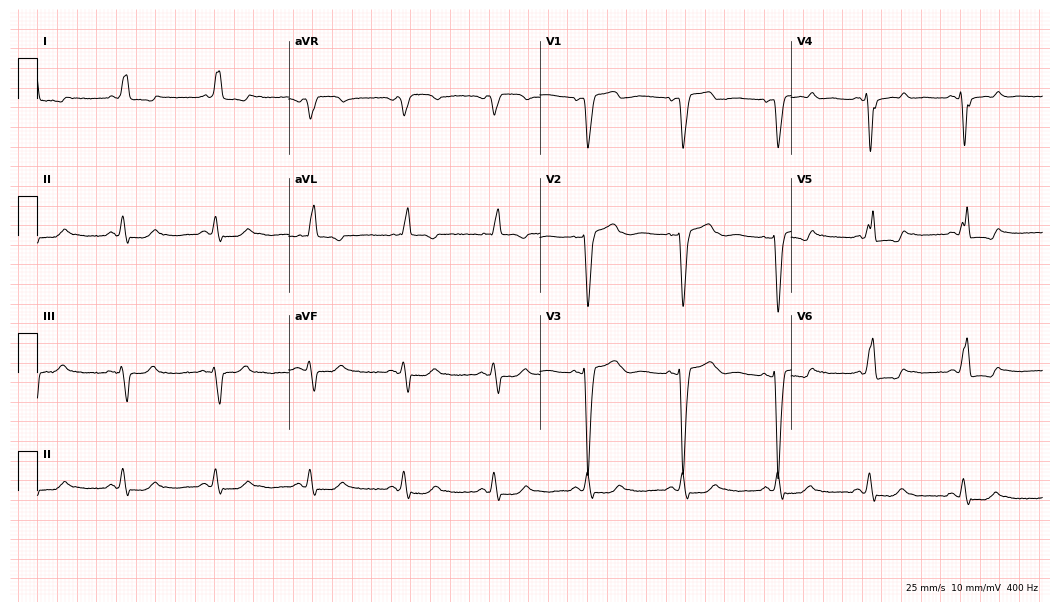
12-lead ECG from a 70-year-old woman. No first-degree AV block, right bundle branch block, left bundle branch block, sinus bradycardia, atrial fibrillation or sinus tachycardia recorded for this tracing.